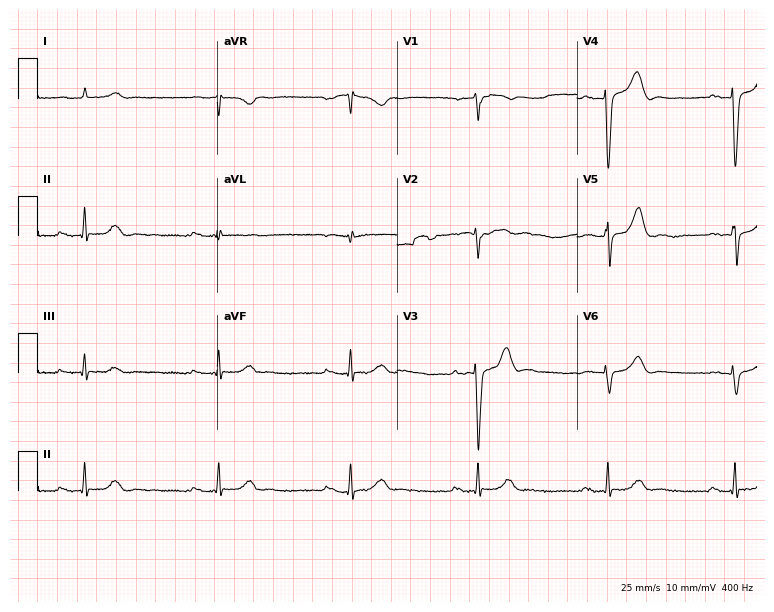
Electrocardiogram (7.3-second recording at 400 Hz), a man, 65 years old. Of the six screened findings (first-degree AV block, right bundle branch block (RBBB), left bundle branch block (LBBB), sinus bradycardia, atrial fibrillation (AF), sinus tachycardia), none is recorded.